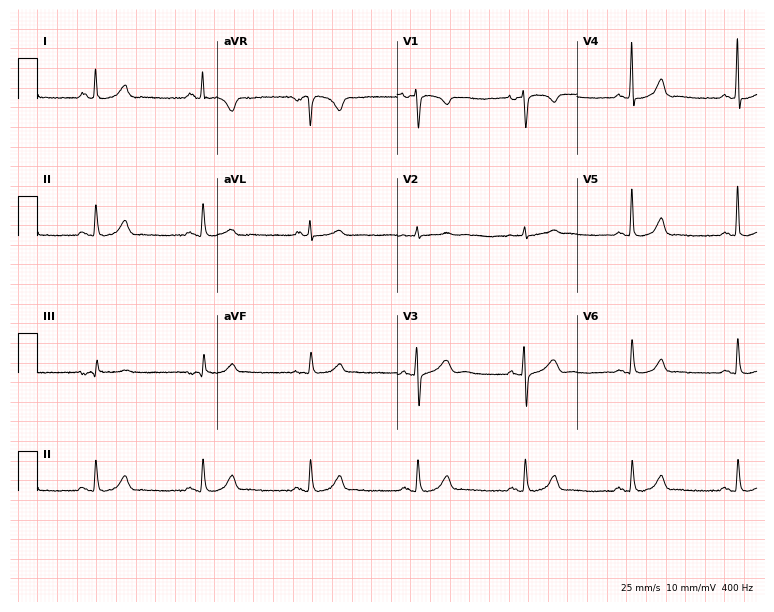
12-lead ECG from a woman, 52 years old. Labelled as a normal ECG.